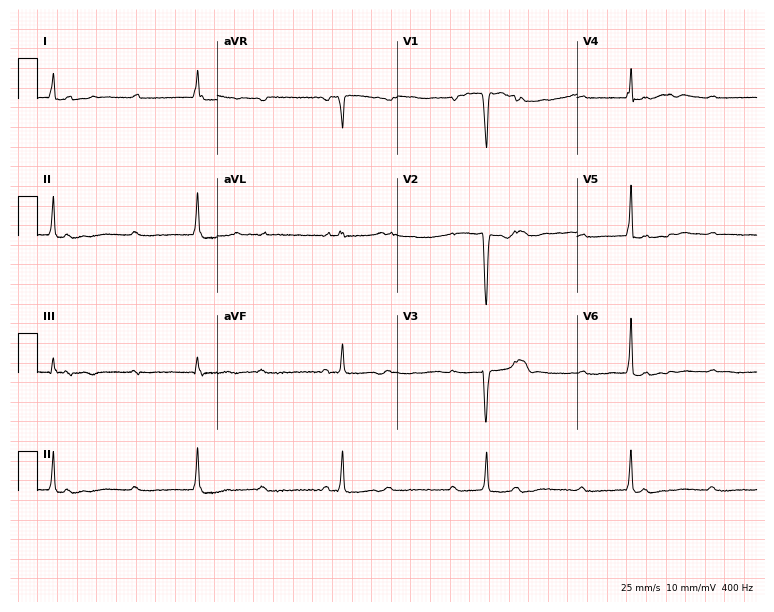
12-lead ECG (7.3-second recording at 400 Hz) from a female, 78 years old. Findings include first-degree AV block.